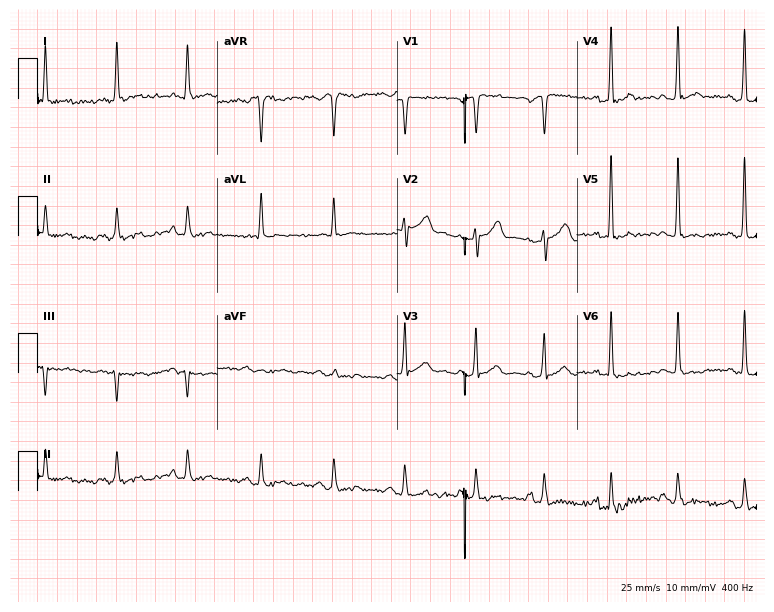
Resting 12-lead electrocardiogram. Patient: a man, 43 years old. None of these six findings is recorded: first-degree AV block, right bundle branch block (RBBB), left bundle branch block (LBBB), sinus bradycardia, atrial fibrillation (AF), sinus tachycardia.